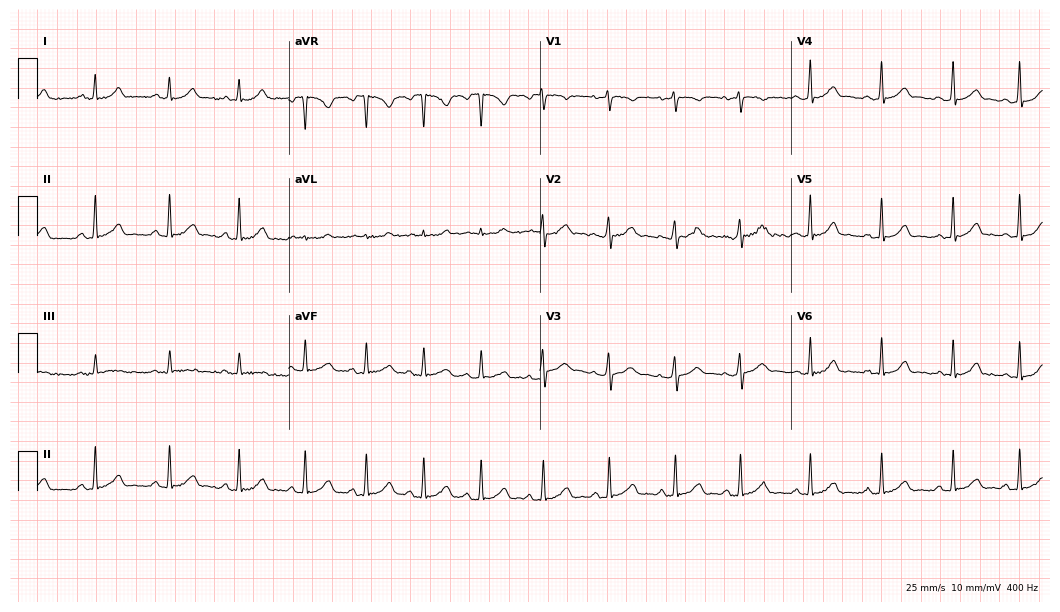
Electrocardiogram (10.2-second recording at 400 Hz), a female patient, 27 years old. Overall reading on record: normal ECG.